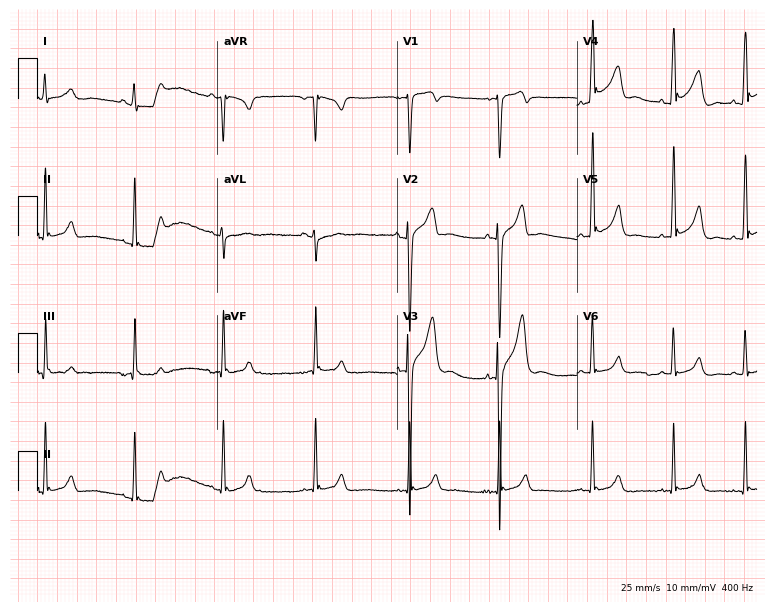
Standard 12-lead ECG recorded from a 19-year-old male. None of these six findings is recorded: first-degree AV block, right bundle branch block, left bundle branch block, sinus bradycardia, atrial fibrillation, sinus tachycardia. Findings outside these six are not listed.